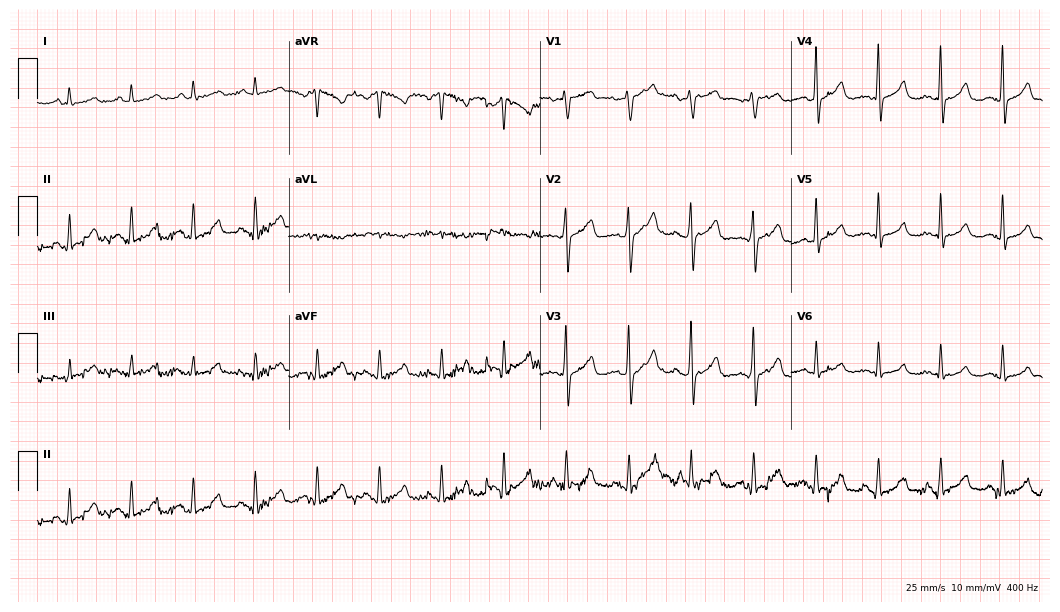
Resting 12-lead electrocardiogram (10.2-second recording at 400 Hz). Patient: a 63-year-old man. Read as a normal ECG.